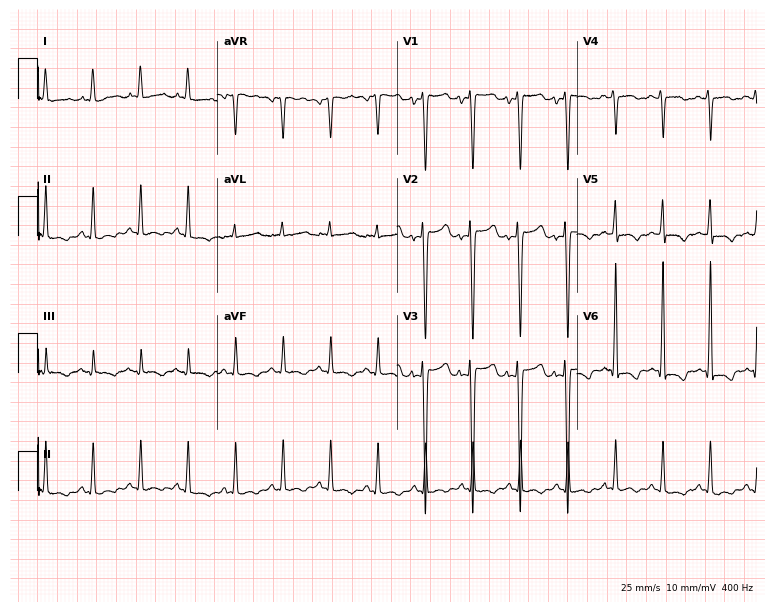
Resting 12-lead electrocardiogram. Patient: a 28-year-old woman. The tracing shows sinus tachycardia (a sinus rate of 100 beats per minute or more).